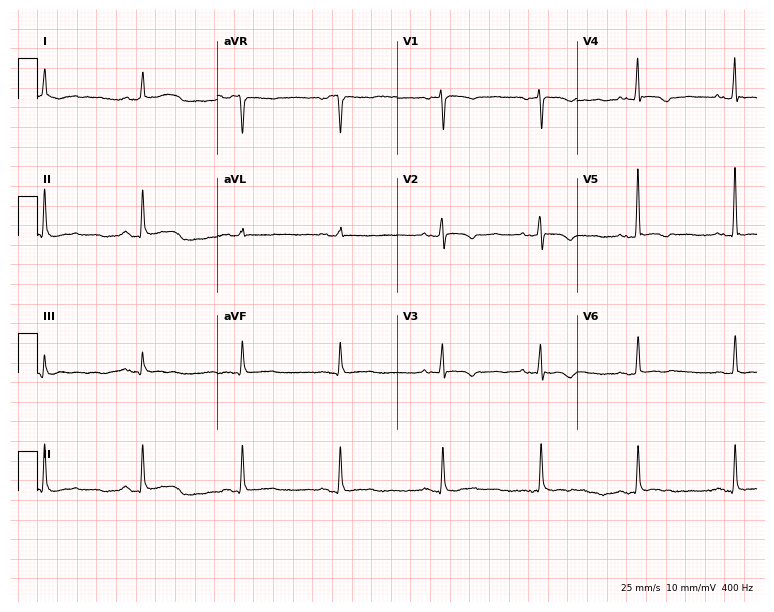
Electrocardiogram, a 66-year-old woman. Of the six screened findings (first-degree AV block, right bundle branch block, left bundle branch block, sinus bradycardia, atrial fibrillation, sinus tachycardia), none is recorded. Only these six findings were labelled.